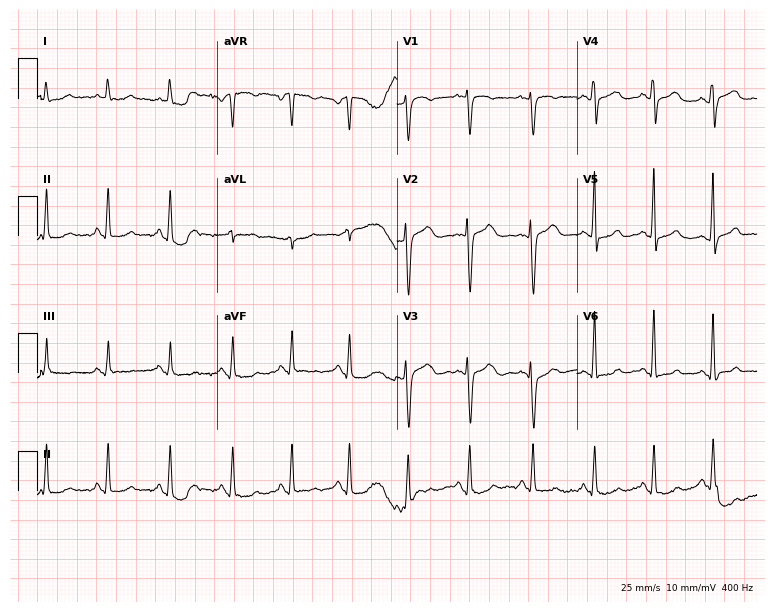
ECG — a 35-year-old female. Screened for six findings — first-degree AV block, right bundle branch block (RBBB), left bundle branch block (LBBB), sinus bradycardia, atrial fibrillation (AF), sinus tachycardia — none is recorded.